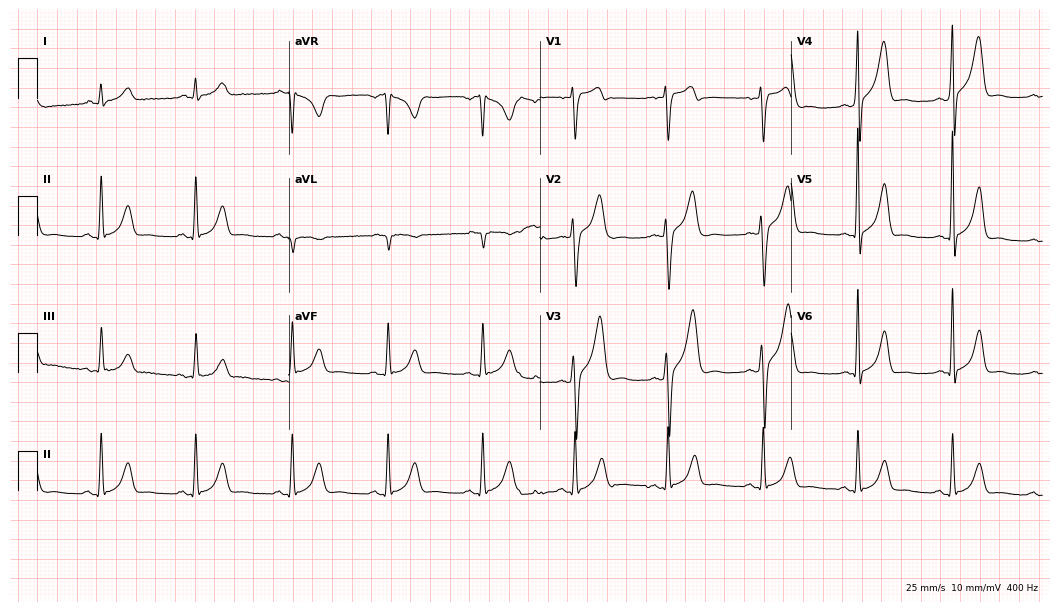
Resting 12-lead electrocardiogram (10.2-second recording at 400 Hz). Patient: a male, 42 years old. None of these six findings is recorded: first-degree AV block, right bundle branch block (RBBB), left bundle branch block (LBBB), sinus bradycardia, atrial fibrillation (AF), sinus tachycardia. Other findings, if any, are not listed.